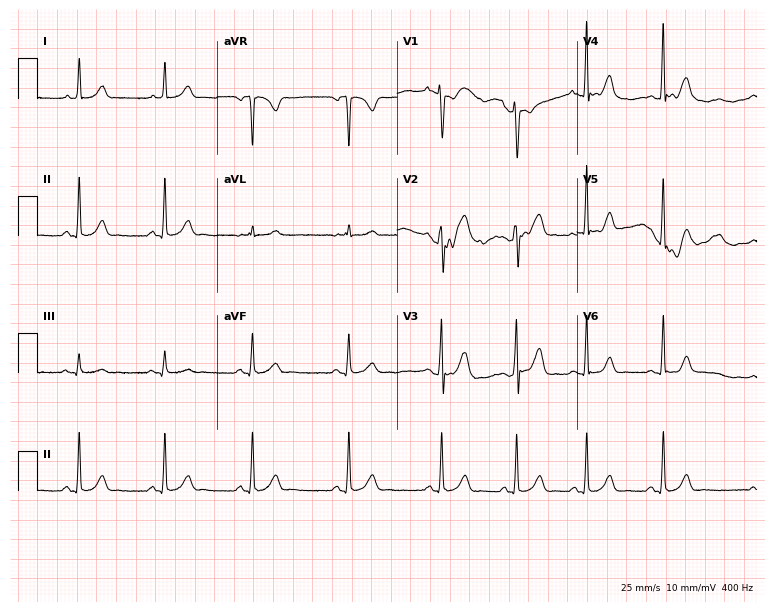
Resting 12-lead electrocardiogram. Patient: a 23-year-old female. None of these six findings is recorded: first-degree AV block, right bundle branch block, left bundle branch block, sinus bradycardia, atrial fibrillation, sinus tachycardia. Findings outside these six are not listed.